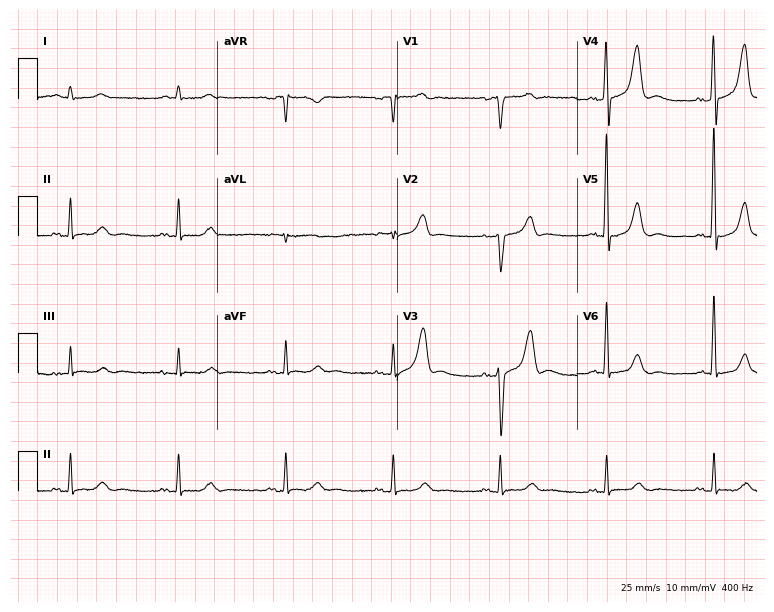
Standard 12-lead ECG recorded from a 74-year-old man. Read as a normal ECG.